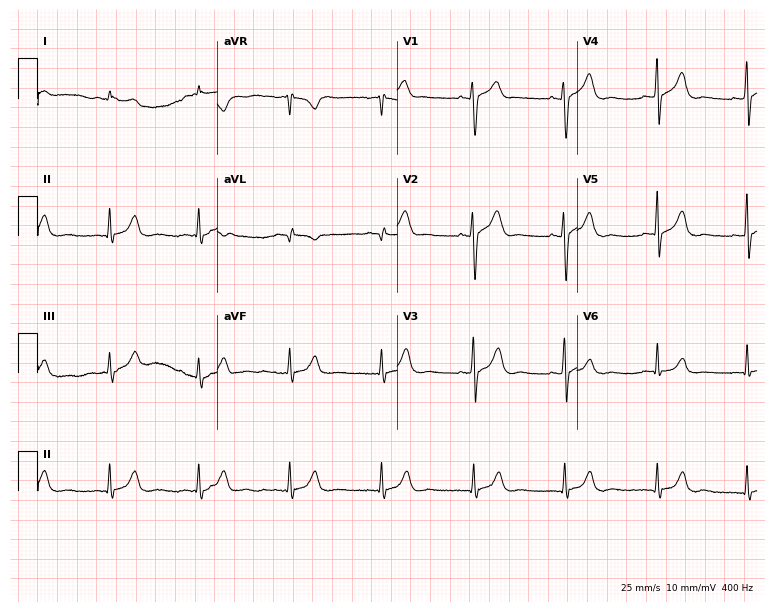
Resting 12-lead electrocardiogram. Patient: a male, 52 years old. None of these six findings is recorded: first-degree AV block, right bundle branch block, left bundle branch block, sinus bradycardia, atrial fibrillation, sinus tachycardia. Other findings, if any, are not listed.